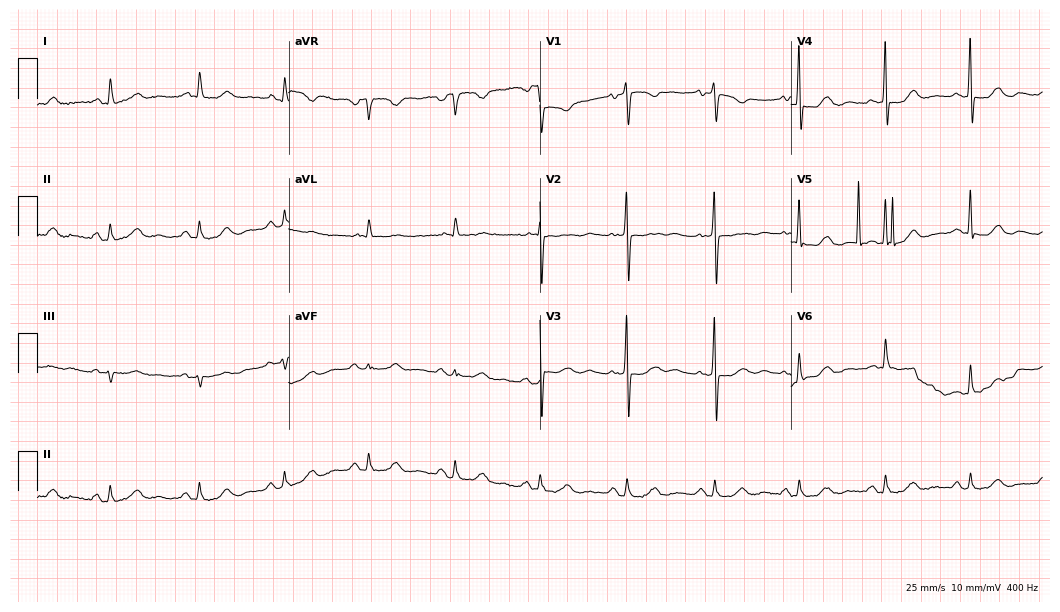
Standard 12-lead ECG recorded from a 76-year-old female. None of these six findings is recorded: first-degree AV block, right bundle branch block (RBBB), left bundle branch block (LBBB), sinus bradycardia, atrial fibrillation (AF), sinus tachycardia. Findings outside these six are not listed.